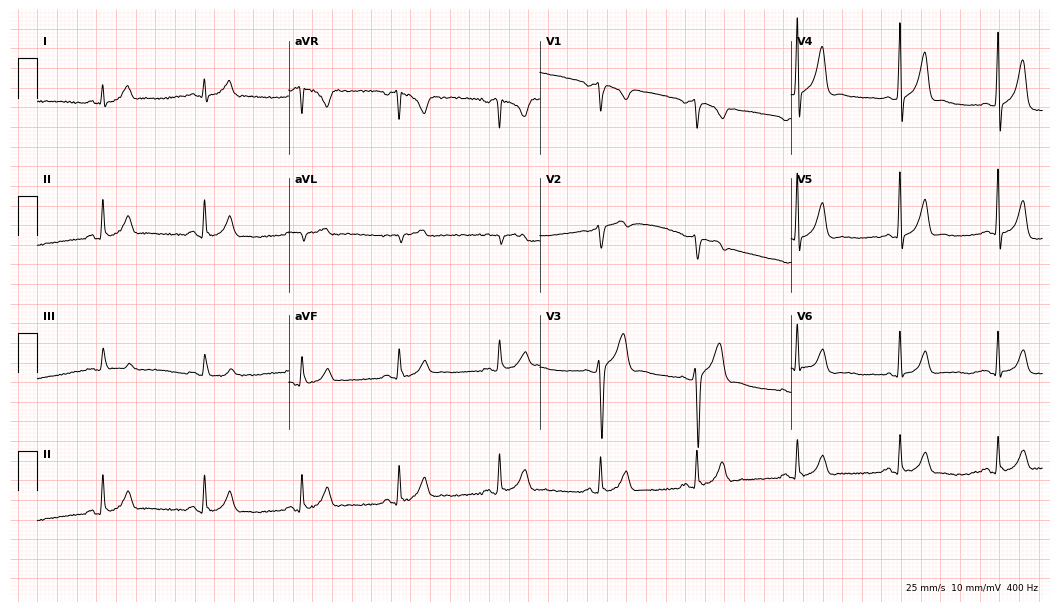
Standard 12-lead ECG recorded from a male, 45 years old. Read as a normal ECG.